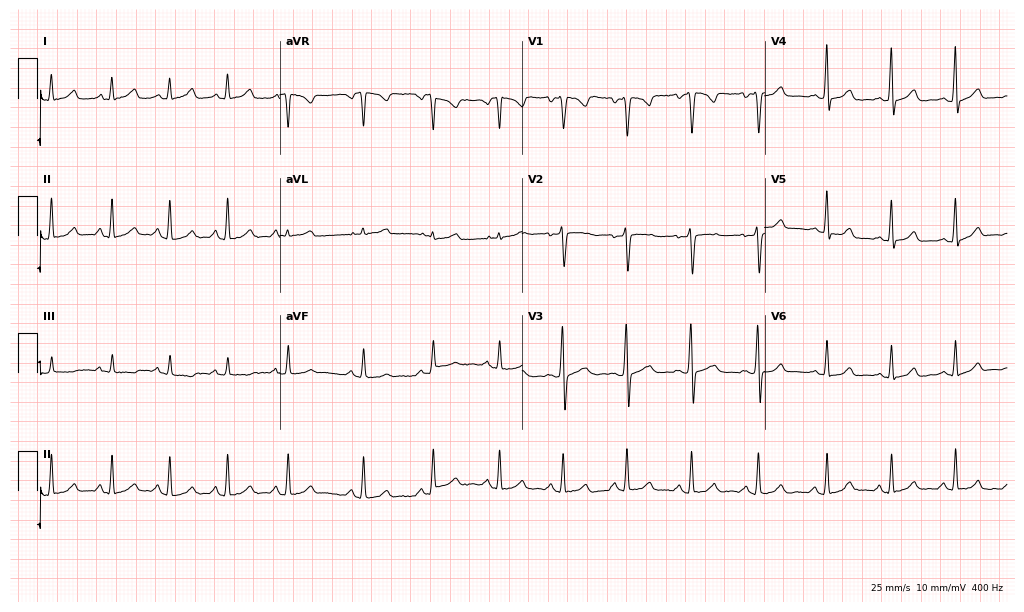
ECG (9.9-second recording at 400 Hz) — a 23-year-old female. Labelled as a normal ECG.